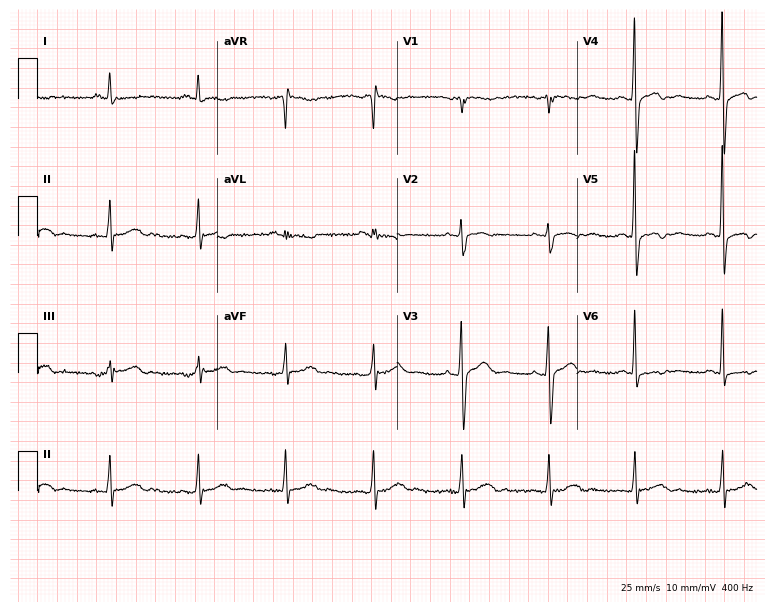
ECG (7.3-second recording at 400 Hz) — a 65-year-old male patient. Screened for six findings — first-degree AV block, right bundle branch block (RBBB), left bundle branch block (LBBB), sinus bradycardia, atrial fibrillation (AF), sinus tachycardia — none is recorded.